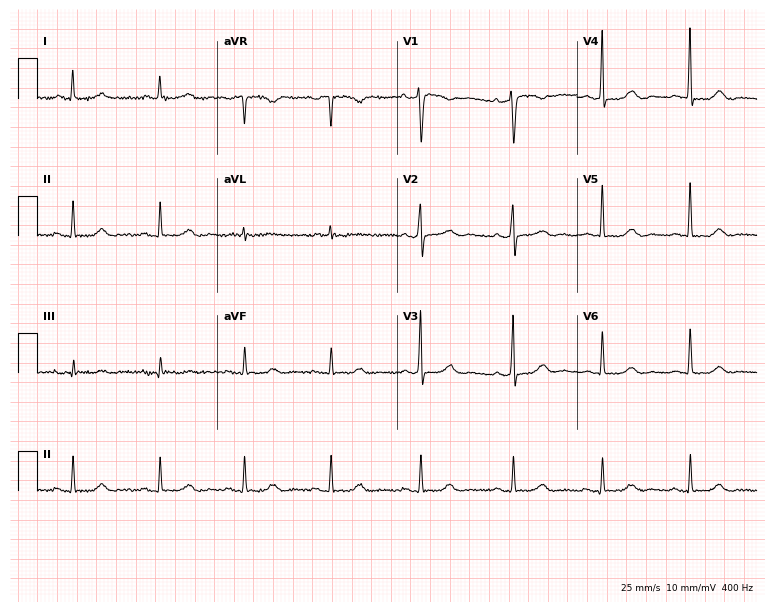
Standard 12-lead ECG recorded from a female patient, 53 years old. None of these six findings is recorded: first-degree AV block, right bundle branch block (RBBB), left bundle branch block (LBBB), sinus bradycardia, atrial fibrillation (AF), sinus tachycardia. Only these six findings were labelled.